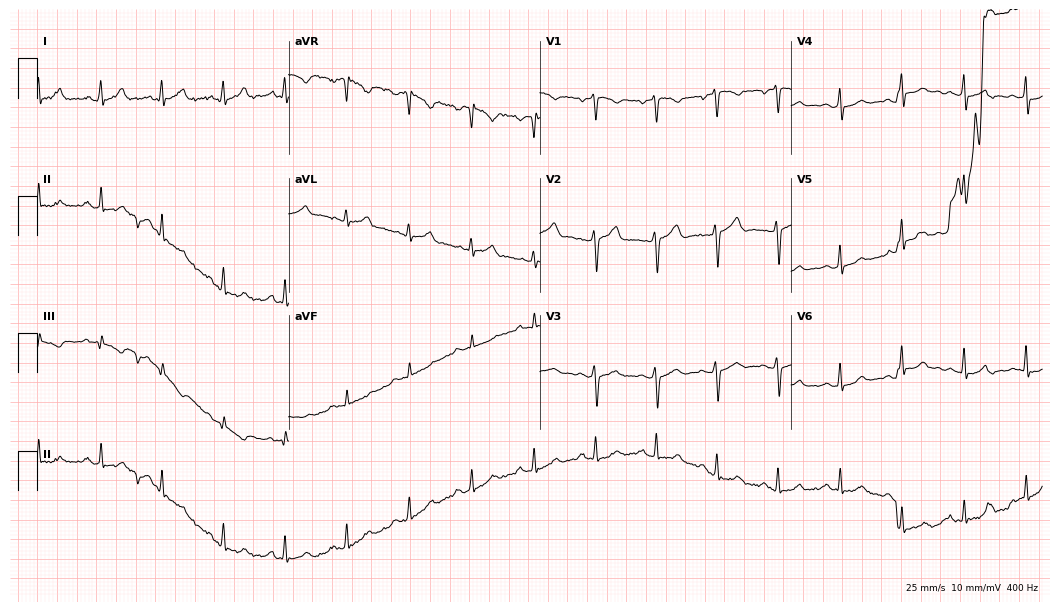
12-lead ECG (10.2-second recording at 400 Hz) from a 35-year-old man. Labelled as a normal ECG.